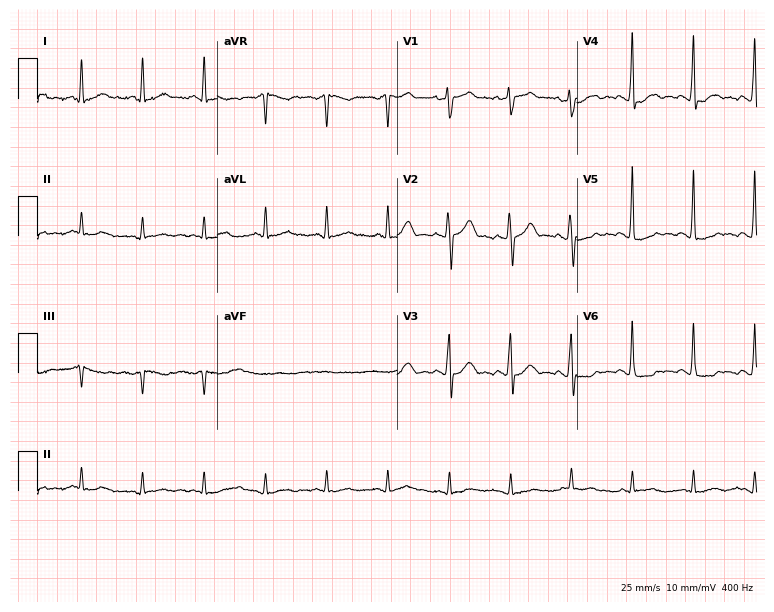
Standard 12-lead ECG recorded from a male patient, 65 years old (7.3-second recording at 400 Hz). None of these six findings is recorded: first-degree AV block, right bundle branch block (RBBB), left bundle branch block (LBBB), sinus bradycardia, atrial fibrillation (AF), sinus tachycardia. Only these six findings were labelled.